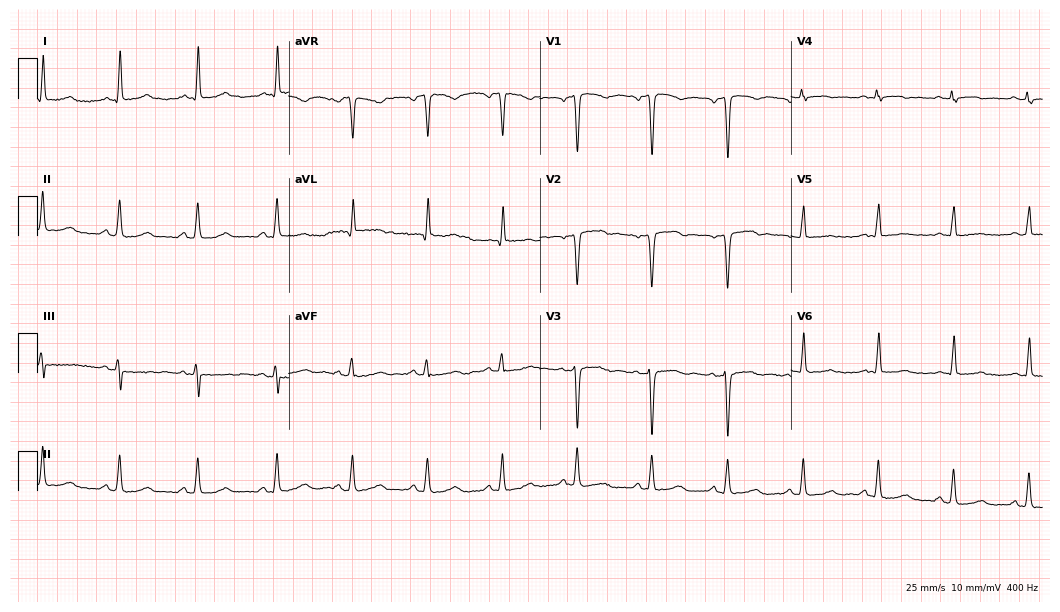
ECG — a 60-year-old female. Screened for six findings — first-degree AV block, right bundle branch block (RBBB), left bundle branch block (LBBB), sinus bradycardia, atrial fibrillation (AF), sinus tachycardia — none is recorded.